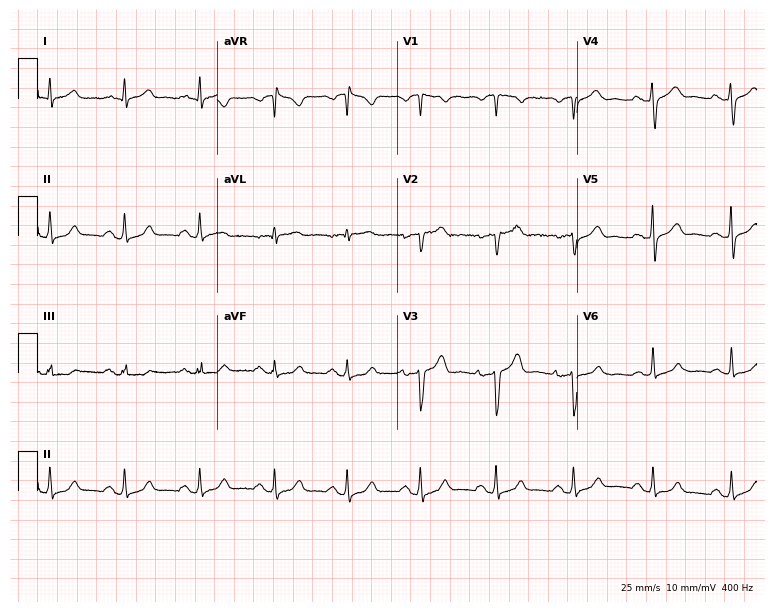
Standard 12-lead ECG recorded from a man, 41 years old (7.3-second recording at 400 Hz). Read as a normal ECG.